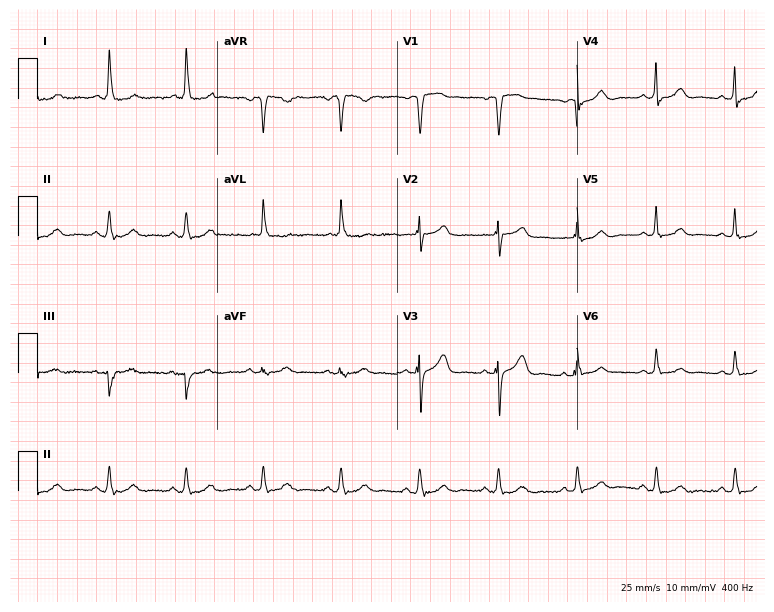
12-lead ECG (7.3-second recording at 400 Hz) from a female, 77 years old. Labelled as a normal ECG.